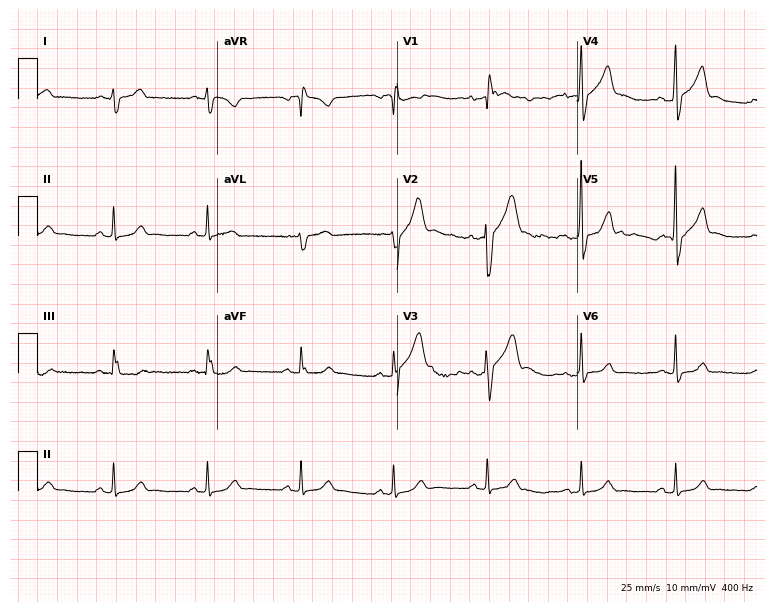
Resting 12-lead electrocardiogram (7.3-second recording at 400 Hz). Patient: a 50-year-old male. None of these six findings is recorded: first-degree AV block, right bundle branch block, left bundle branch block, sinus bradycardia, atrial fibrillation, sinus tachycardia. Other findings, if any, are not listed.